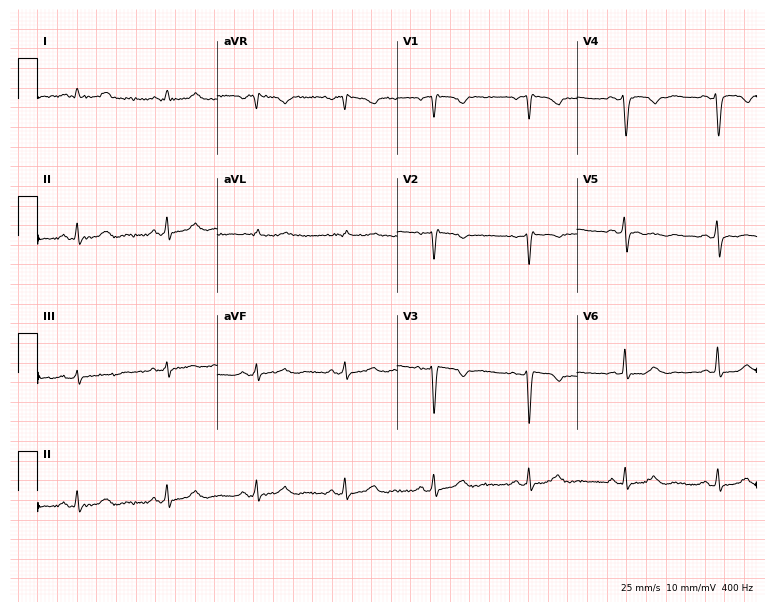
Resting 12-lead electrocardiogram. Patient: a female, 44 years old. None of these six findings is recorded: first-degree AV block, right bundle branch block, left bundle branch block, sinus bradycardia, atrial fibrillation, sinus tachycardia. Only these six findings were labelled.